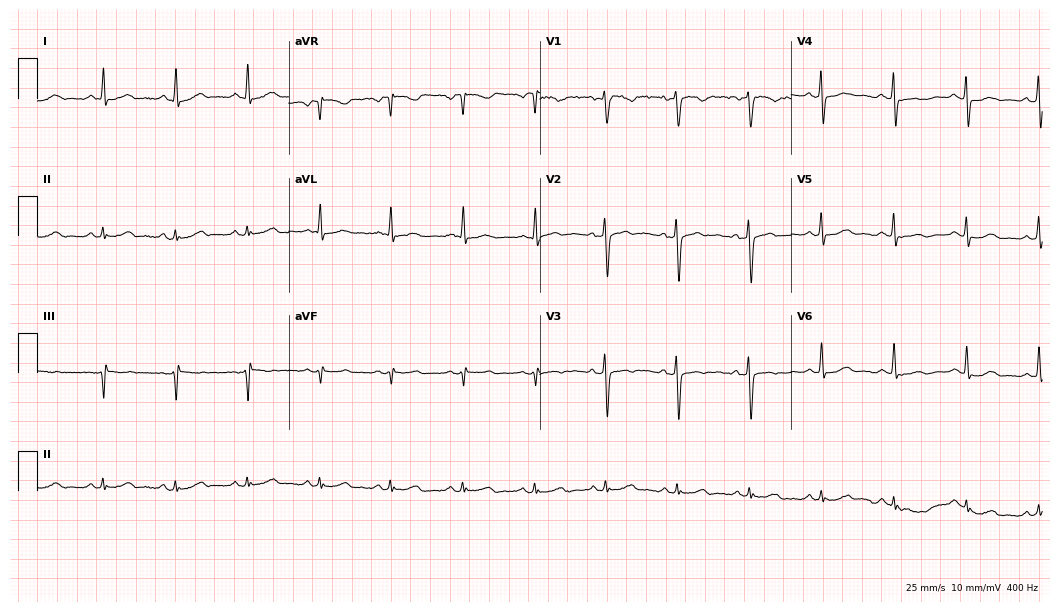
ECG — a female, 55 years old. Labelled as a normal ECG.